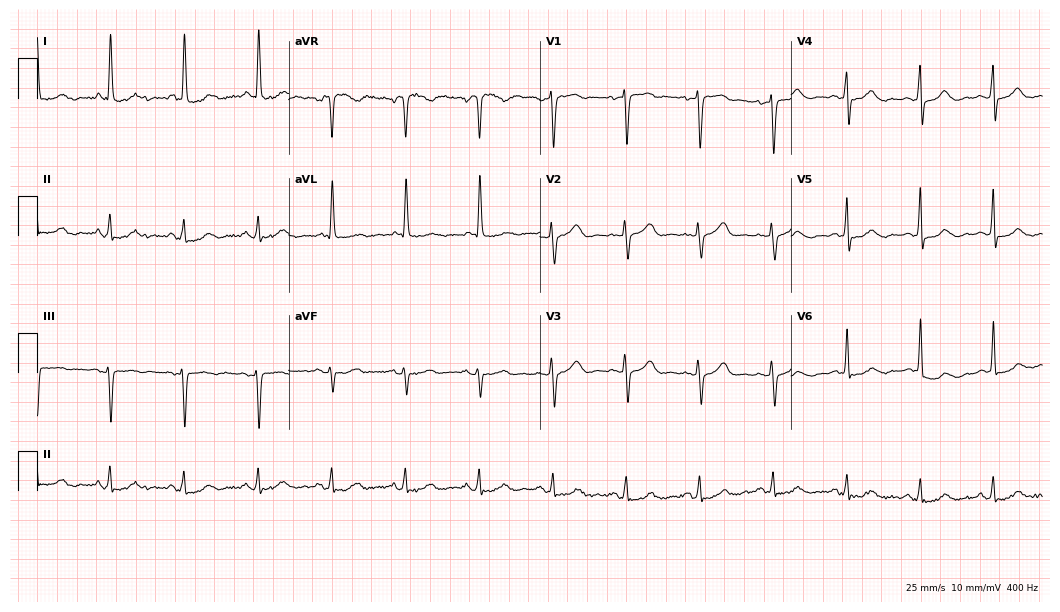
Electrocardiogram, a female, 73 years old. Overall reading on record: normal ECG.